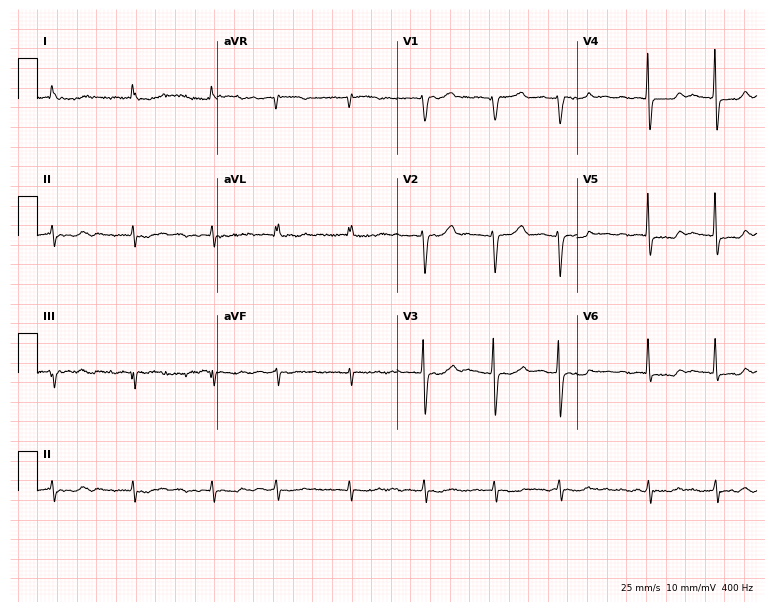
Standard 12-lead ECG recorded from a woman, 80 years old (7.3-second recording at 400 Hz). None of these six findings is recorded: first-degree AV block, right bundle branch block, left bundle branch block, sinus bradycardia, atrial fibrillation, sinus tachycardia. Findings outside these six are not listed.